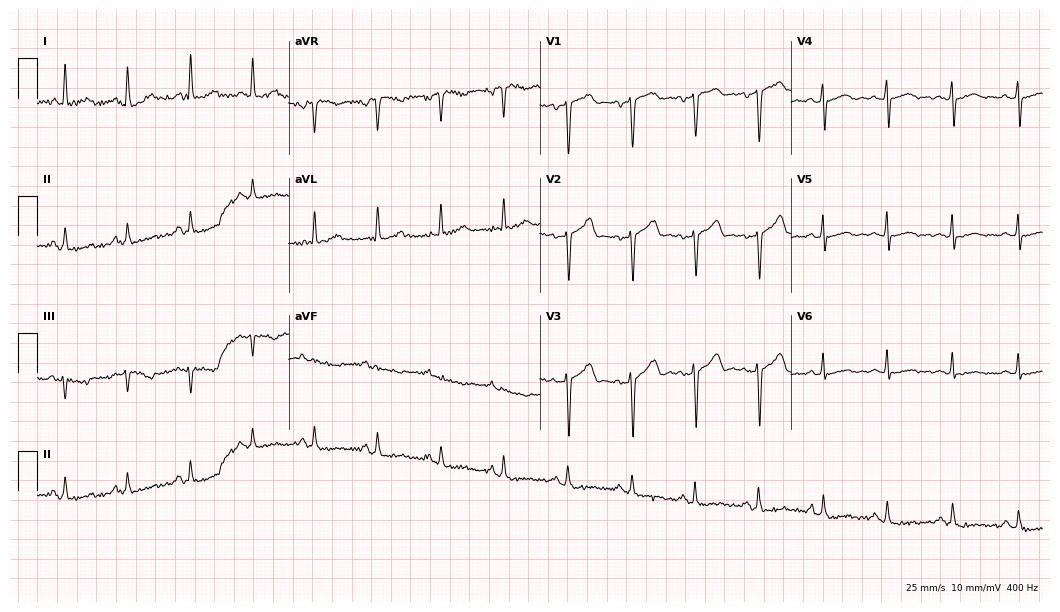
12-lead ECG (10.2-second recording at 400 Hz) from a female, 44 years old. Screened for six findings — first-degree AV block, right bundle branch block, left bundle branch block, sinus bradycardia, atrial fibrillation, sinus tachycardia — none is recorded.